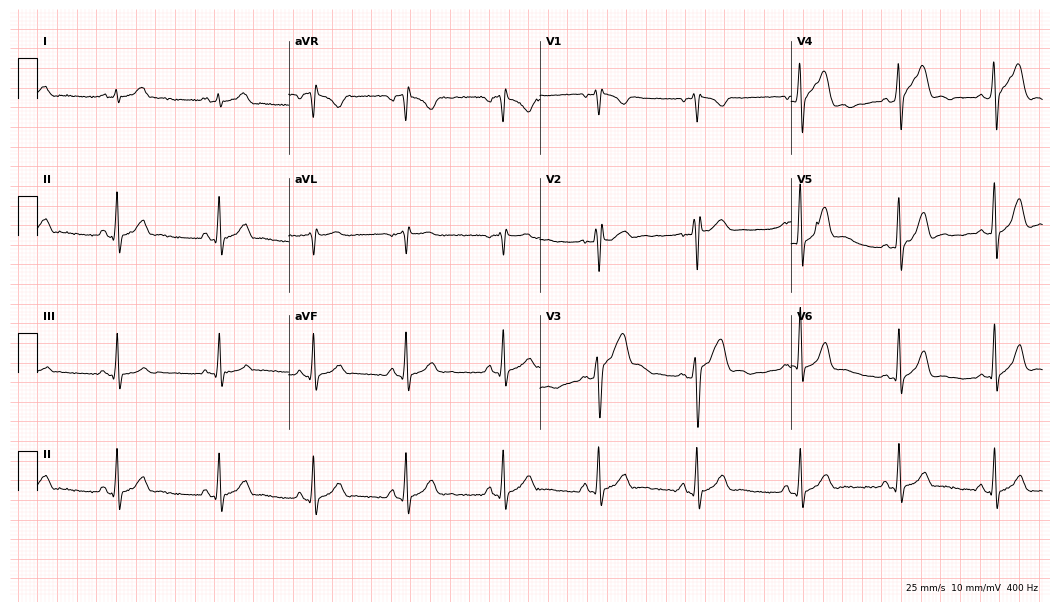
12-lead ECG from a male patient, 26 years old. Screened for six findings — first-degree AV block, right bundle branch block (RBBB), left bundle branch block (LBBB), sinus bradycardia, atrial fibrillation (AF), sinus tachycardia — none is recorded.